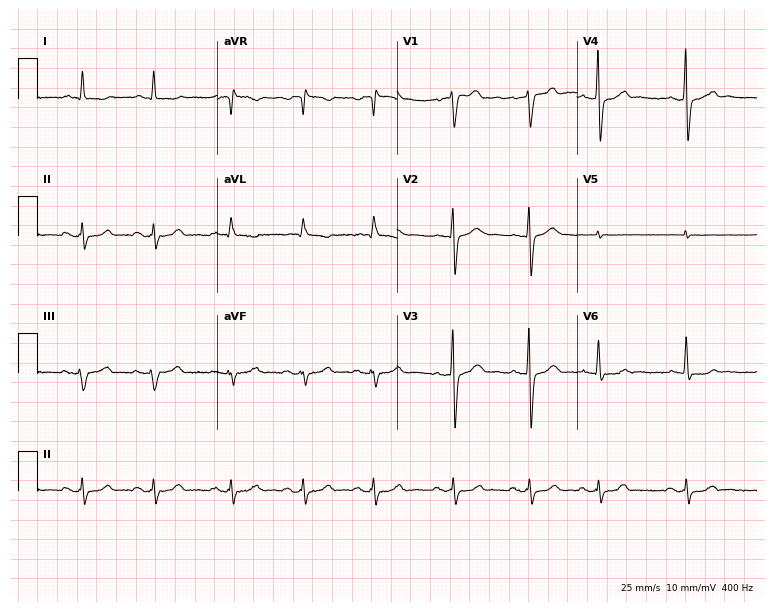
Resting 12-lead electrocardiogram. Patient: a 73-year-old male. Read as a normal ECG.